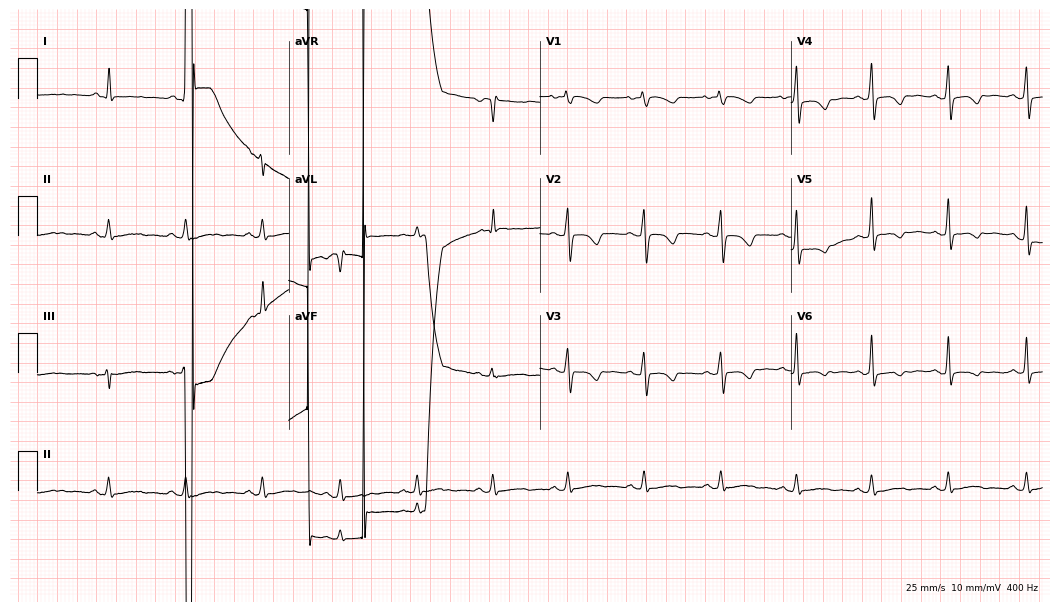
Electrocardiogram, a 61-year-old female patient. Of the six screened findings (first-degree AV block, right bundle branch block, left bundle branch block, sinus bradycardia, atrial fibrillation, sinus tachycardia), none is recorded. Only these six findings were labelled.